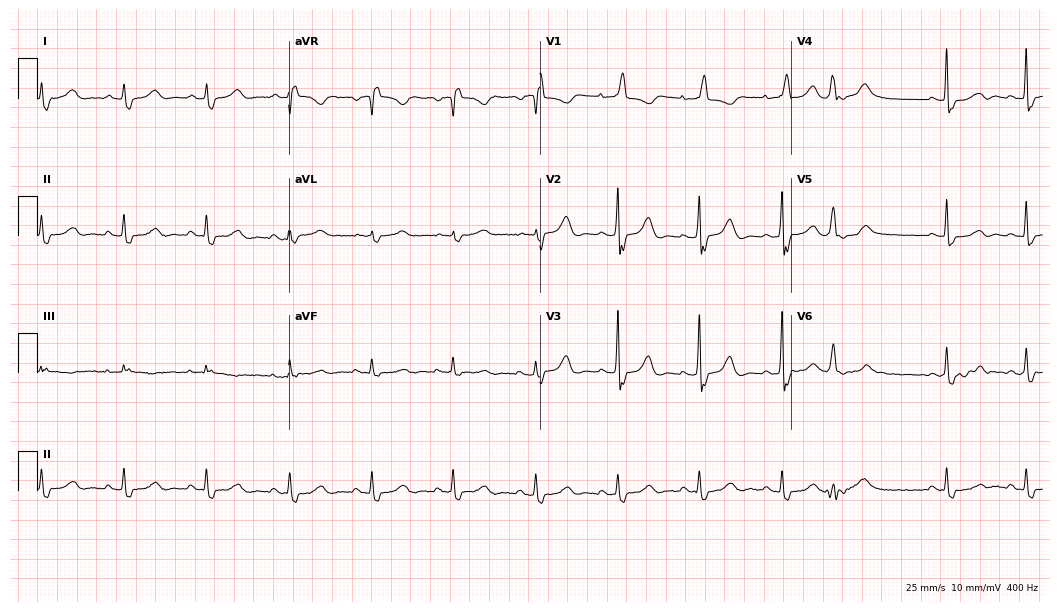
ECG (10.2-second recording at 400 Hz) — a woman, 85 years old. Findings include right bundle branch block (RBBB).